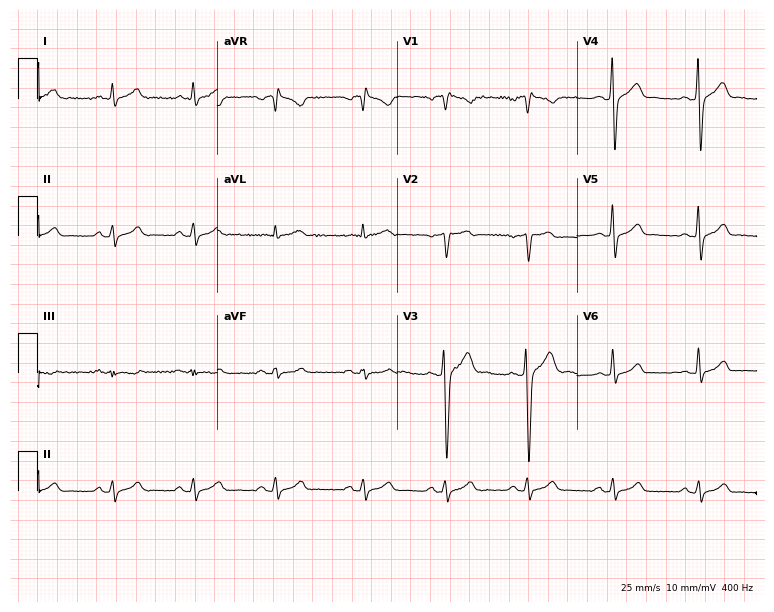
12-lead ECG from a male patient, 44 years old. No first-degree AV block, right bundle branch block, left bundle branch block, sinus bradycardia, atrial fibrillation or sinus tachycardia recorded for this tracing. Other findings, if any, are not listed.